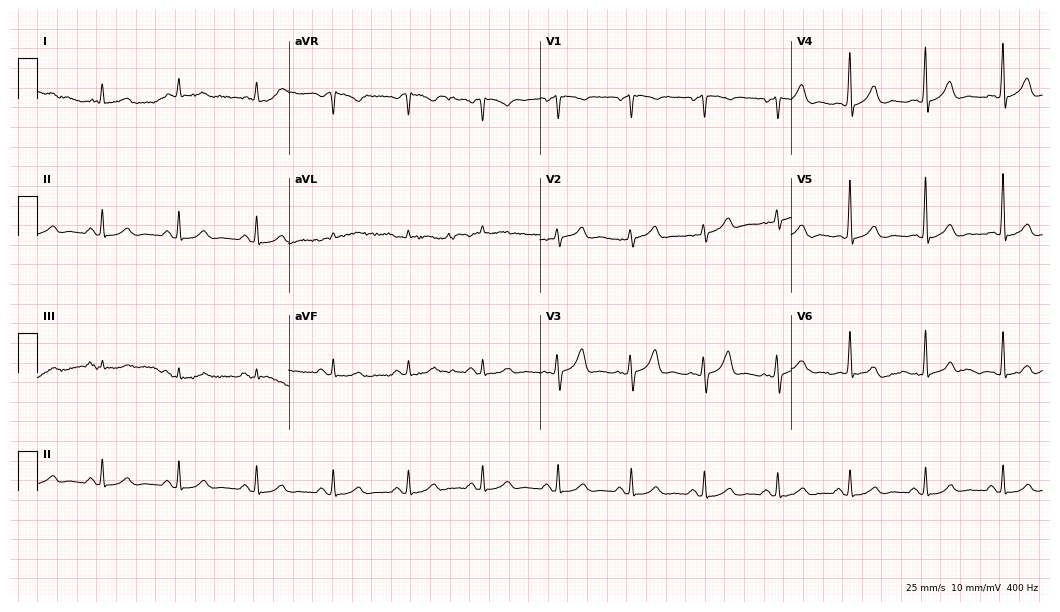
12-lead ECG from a 72-year-old male. Labelled as a normal ECG.